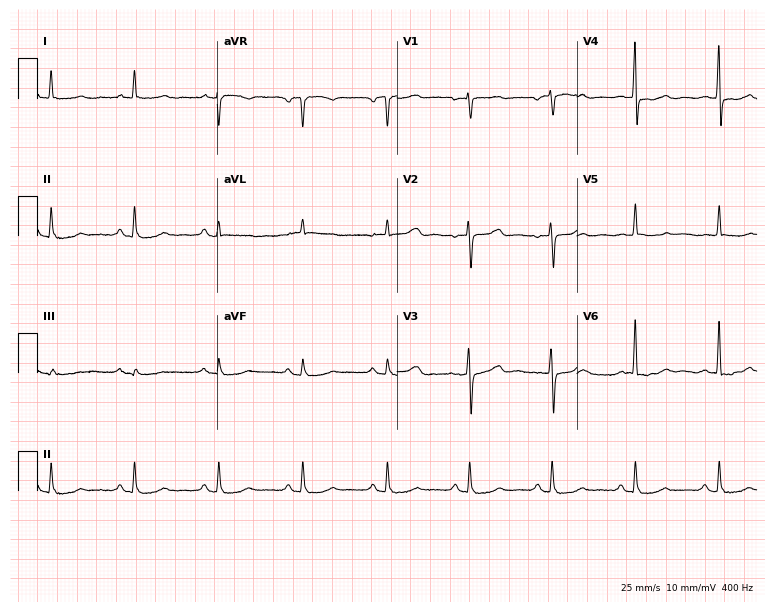
12-lead ECG from a female, 75 years old (7.3-second recording at 400 Hz). No first-degree AV block, right bundle branch block, left bundle branch block, sinus bradycardia, atrial fibrillation or sinus tachycardia recorded for this tracing. Other findings, if any, are not listed.